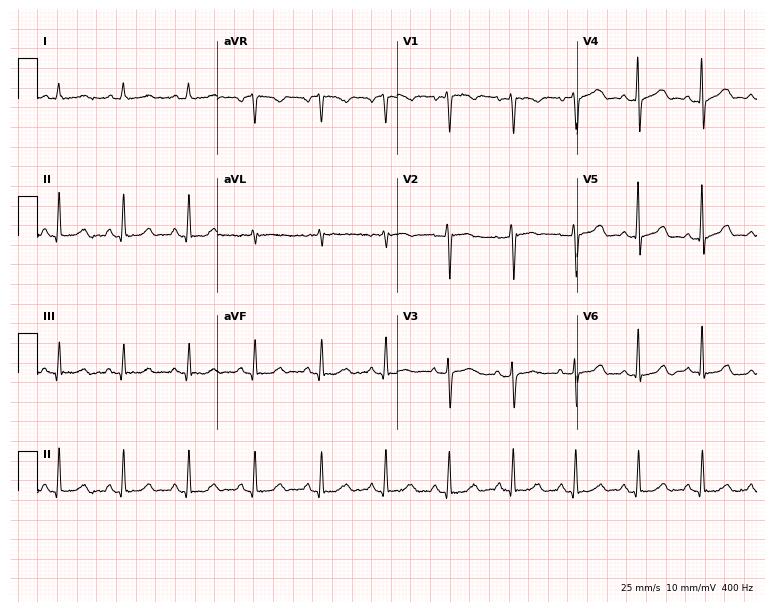
ECG — a 24-year-old woman. Labelled as a normal ECG.